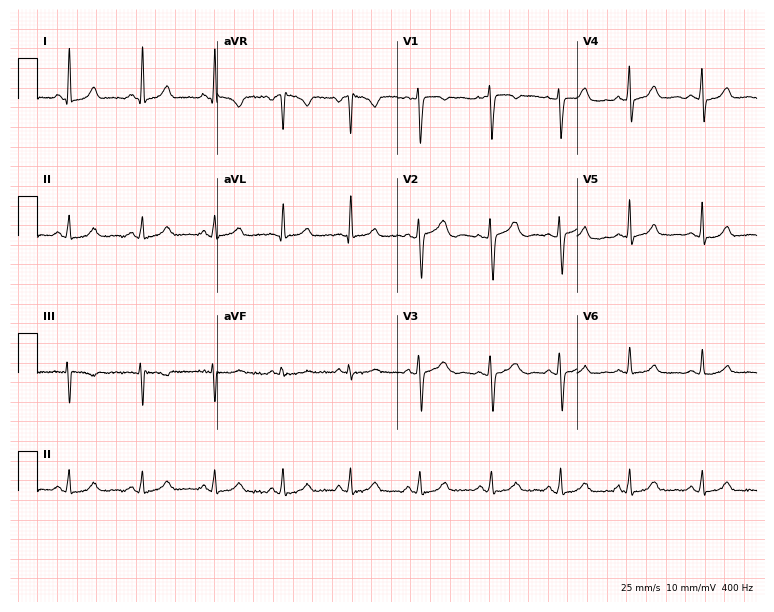
Standard 12-lead ECG recorded from a woman, 45 years old (7.3-second recording at 400 Hz). None of these six findings is recorded: first-degree AV block, right bundle branch block (RBBB), left bundle branch block (LBBB), sinus bradycardia, atrial fibrillation (AF), sinus tachycardia.